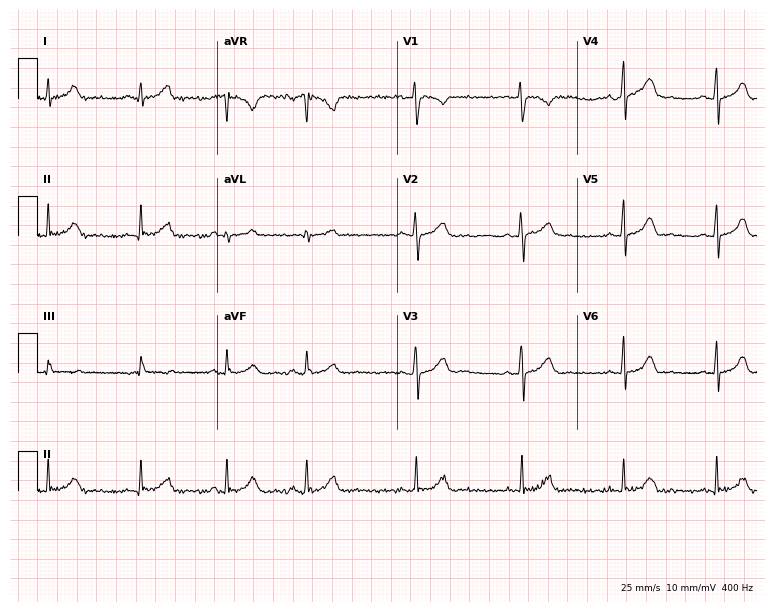
Electrocardiogram, a woman, 19 years old. Of the six screened findings (first-degree AV block, right bundle branch block (RBBB), left bundle branch block (LBBB), sinus bradycardia, atrial fibrillation (AF), sinus tachycardia), none is recorded. Other findings, if any, are not listed.